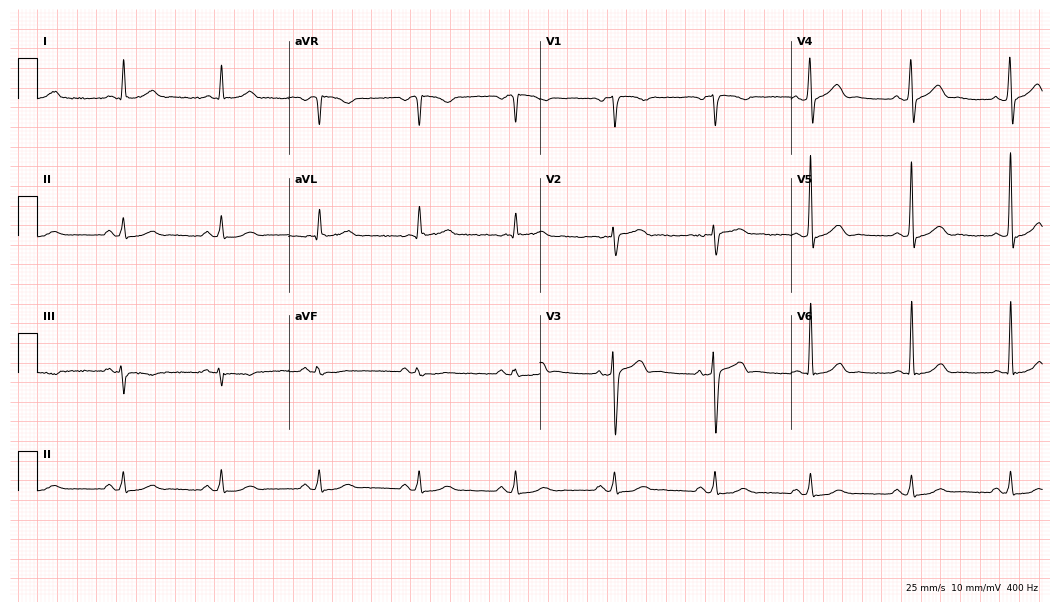
Resting 12-lead electrocardiogram. Patient: a man, 54 years old. Read as a normal ECG.